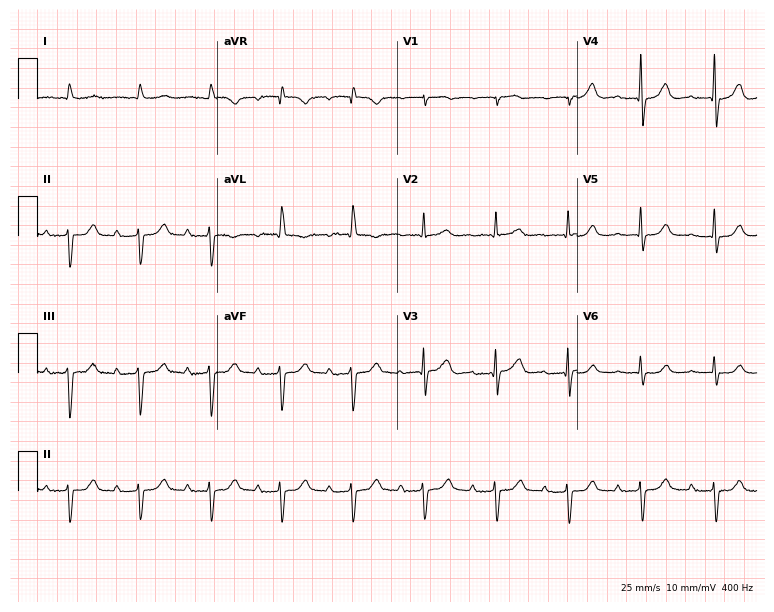
12-lead ECG (7.3-second recording at 400 Hz) from a male patient, 80 years old. Findings include first-degree AV block.